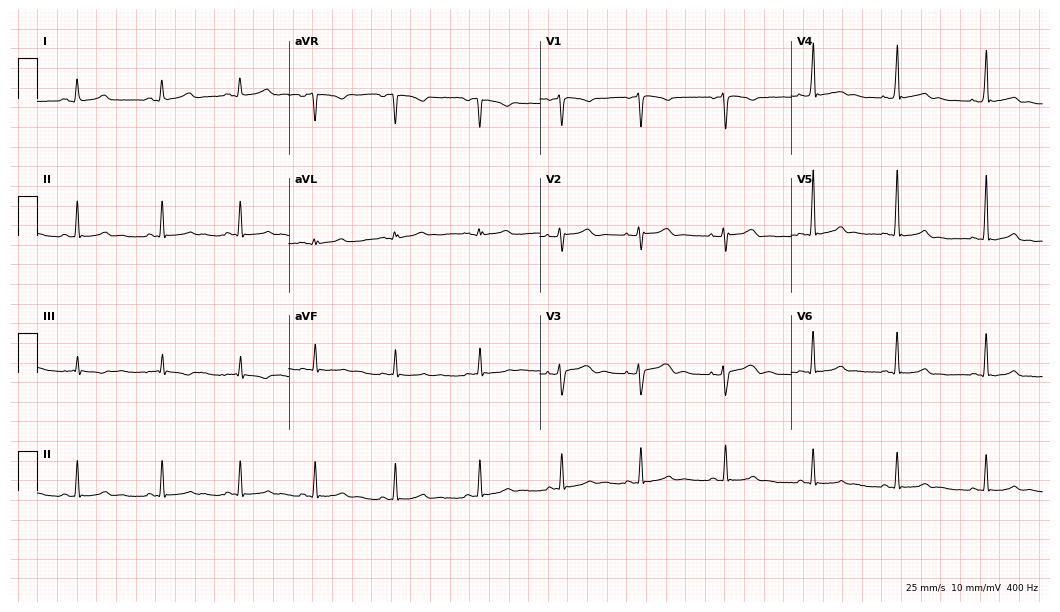
12-lead ECG from a 22-year-old woman. Recorded interpretation: within normal limits.